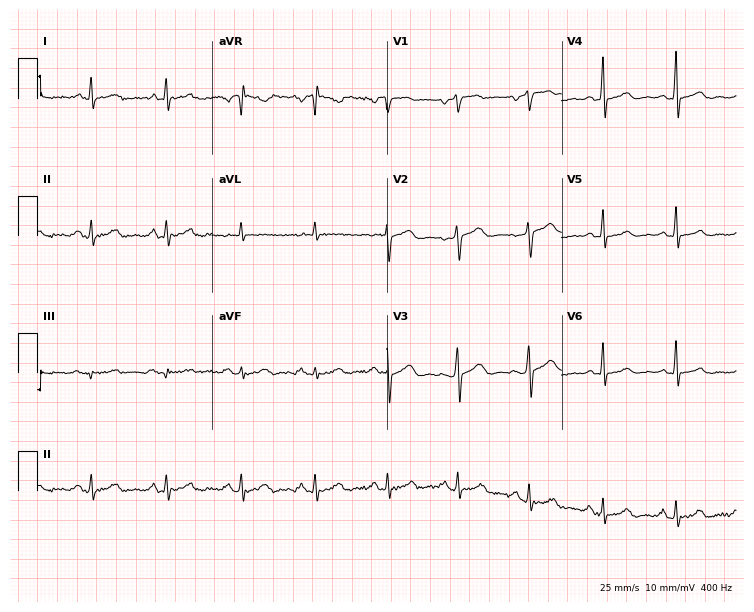
Resting 12-lead electrocardiogram (7.1-second recording at 400 Hz). Patient: a female, 47 years old. None of these six findings is recorded: first-degree AV block, right bundle branch block, left bundle branch block, sinus bradycardia, atrial fibrillation, sinus tachycardia.